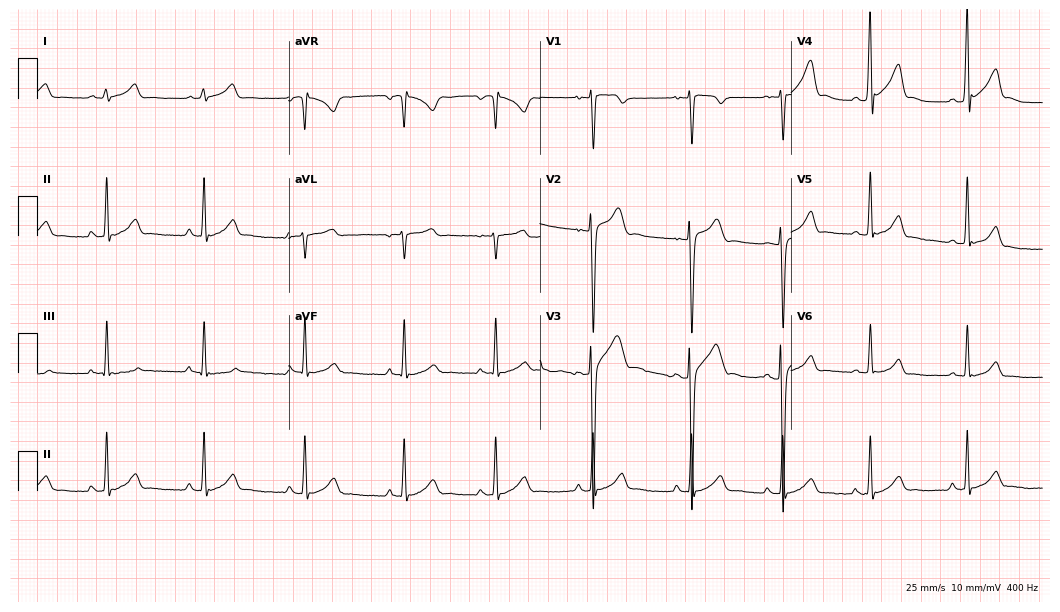
12-lead ECG from a male patient, 18 years old. Recorded interpretation: within normal limits.